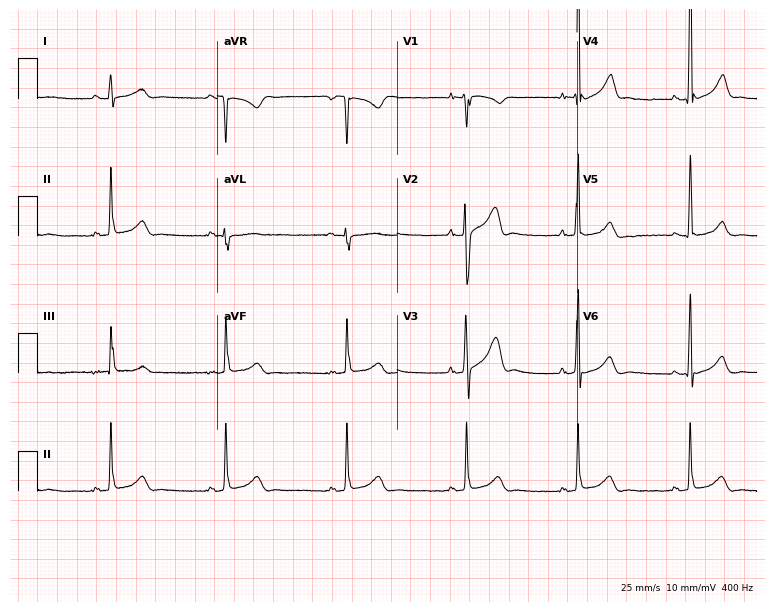
Standard 12-lead ECG recorded from a male, 33 years old. Read as a normal ECG.